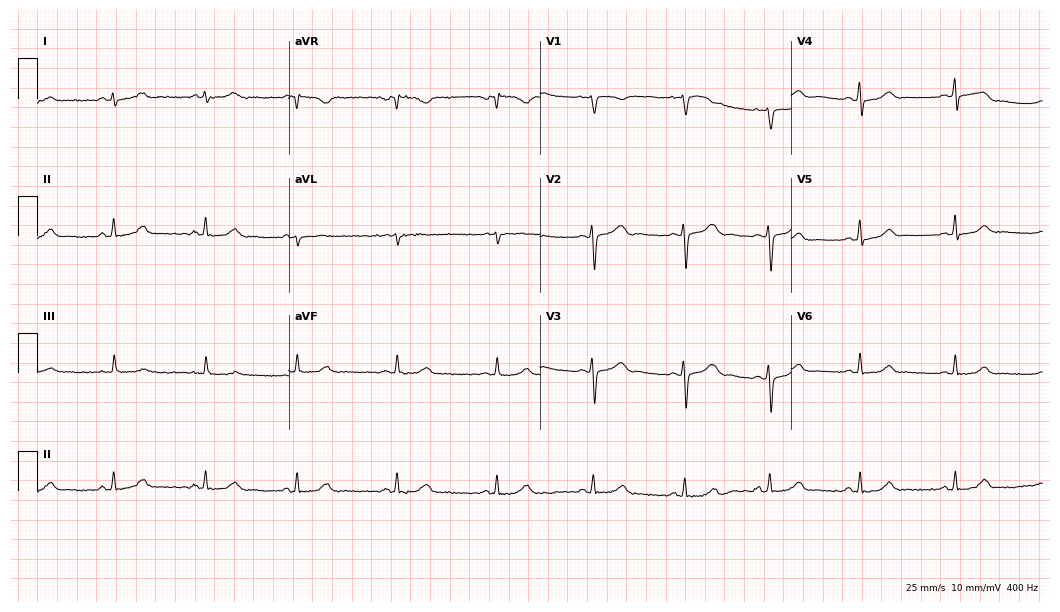
12-lead ECG from an 18-year-old female. Screened for six findings — first-degree AV block, right bundle branch block, left bundle branch block, sinus bradycardia, atrial fibrillation, sinus tachycardia — none is recorded.